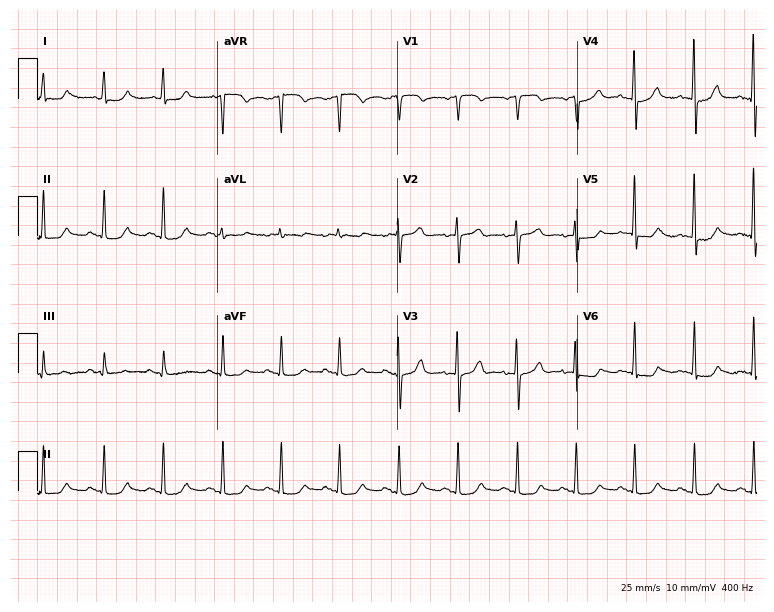
12-lead ECG (7.3-second recording at 400 Hz) from a 70-year-old female. Screened for six findings — first-degree AV block, right bundle branch block, left bundle branch block, sinus bradycardia, atrial fibrillation, sinus tachycardia — none is recorded. Findings outside these six are not listed.